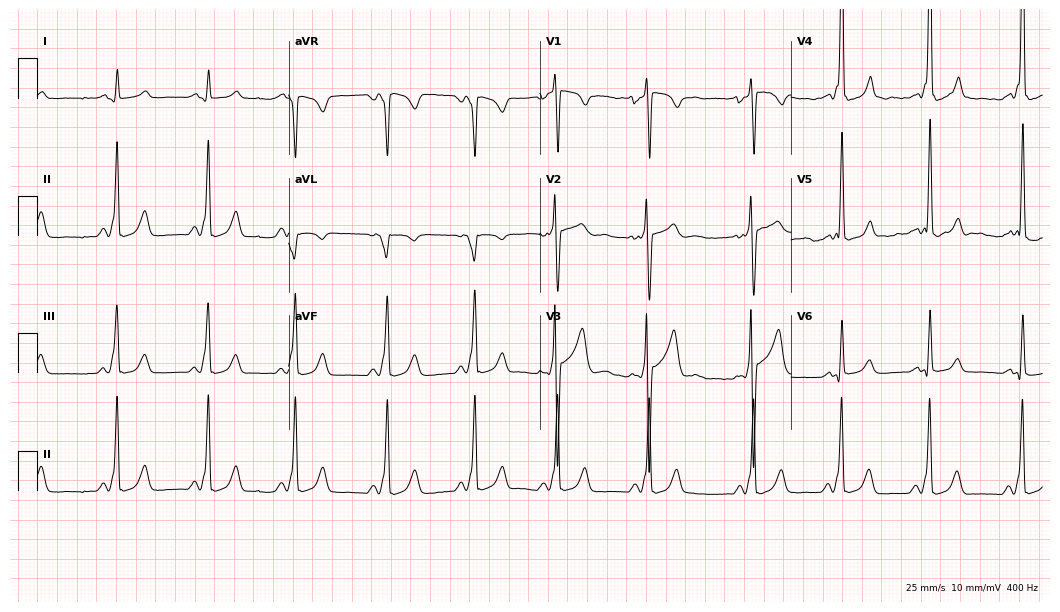
ECG — a male, 23 years old. Screened for six findings — first-degree AV block, right bundle branch block (RBBB), left bundle branch block (LBBB), sinus bradycardia, atrial fibrillation (AF), sinus tachycardia — none is recorded.